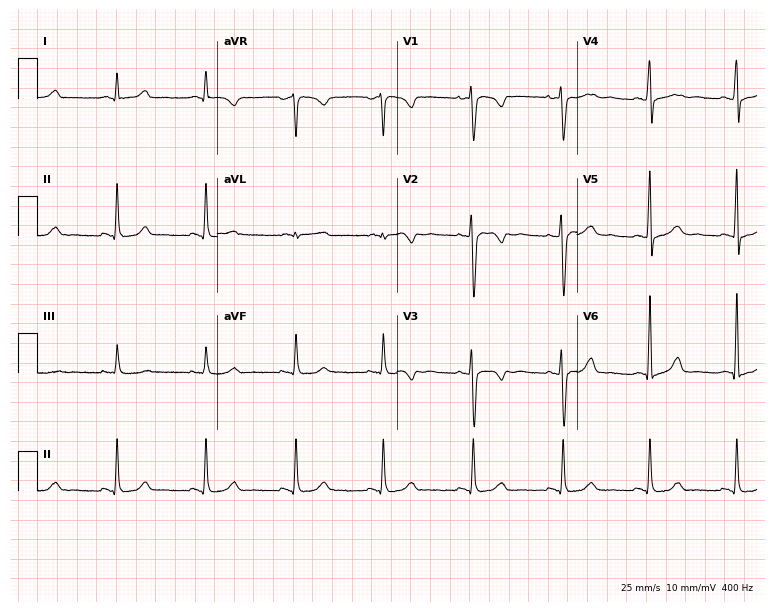
ECG (7.3-second recording at 400 Hz) — a 35-year-old female. Screened for six findings — first-degree AV block, right bundle branch block (RBBB), left bundle branch block (LBBB), sinus bradycardia, atrial fibrillation (AF), sinus tachycardia — none is recorded. Other findings, if any, are not listed.